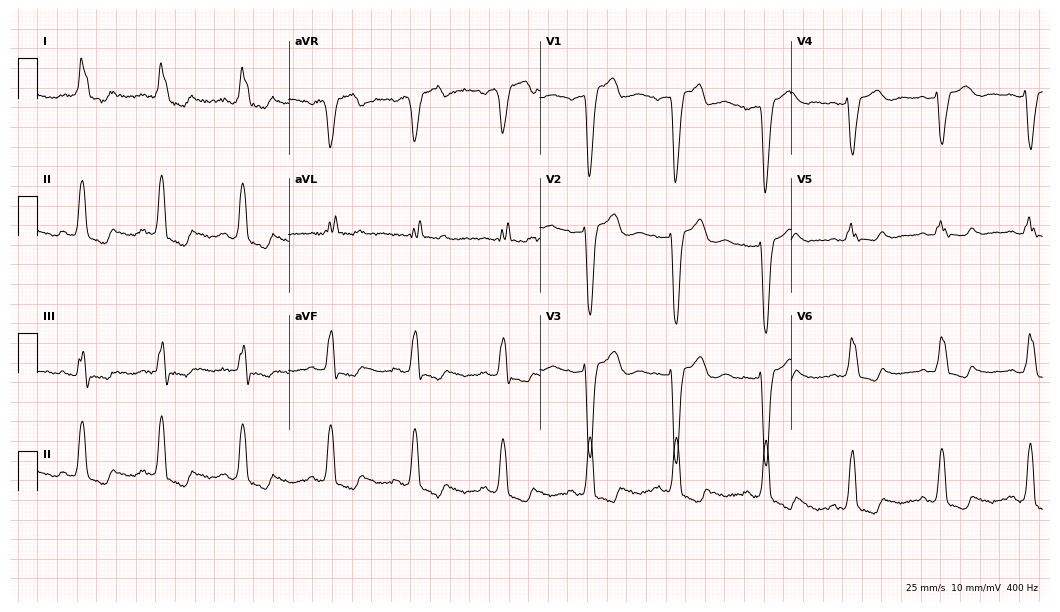
12-lead ECG from a female, 72 years old. Findings include left bundle branch block.